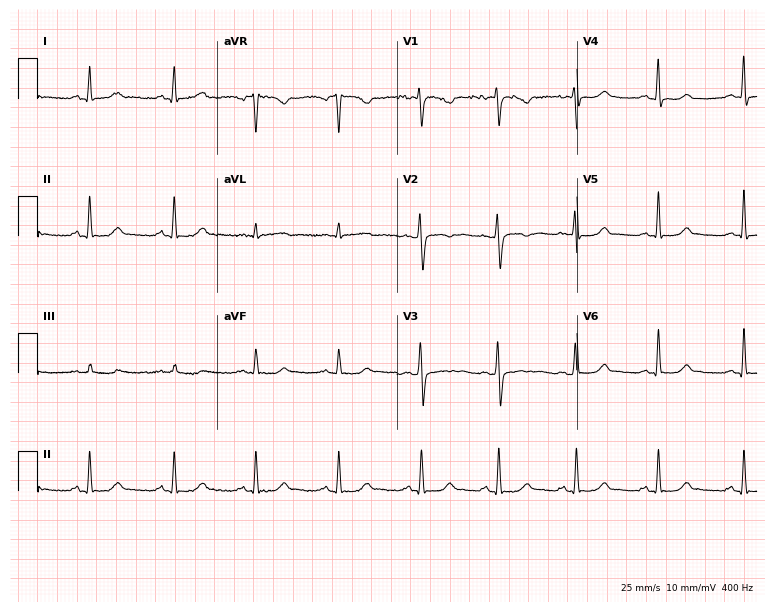
Electrocardiogram, a 40-year-old female. Of the six screened findings (first-degree AV block, right bundle branch block (RBBB), left bundle branch block (LBBB), sinus bradycardia, atrial fibrillation (AF), sinus tachycardia), none is recorded. Only these six findings were labelled.